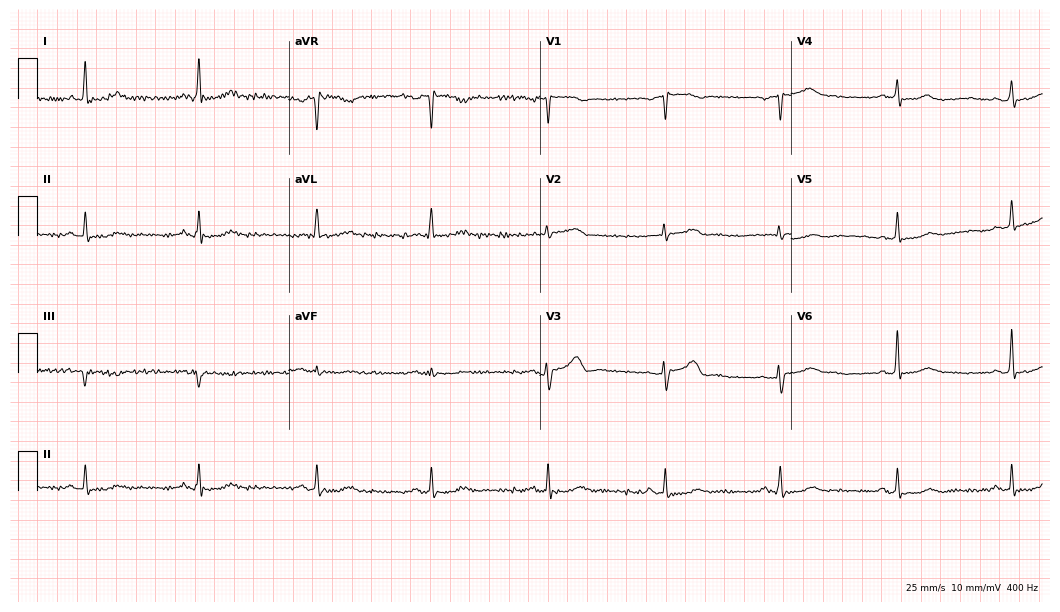
12-lead ECG from a 66-year-old man (10.2-second recording at 400 Hz). Recorded interpretation: within normal limits.